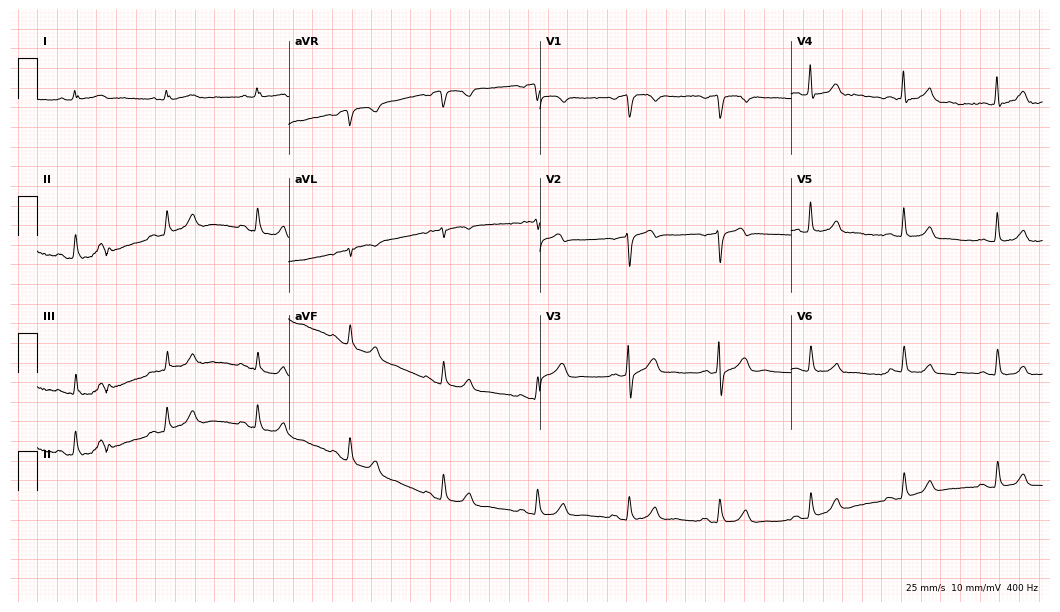
ECG (10.2-second recording at 400 Hz) — a male, 43 years old. Labelled as a normal ECG.